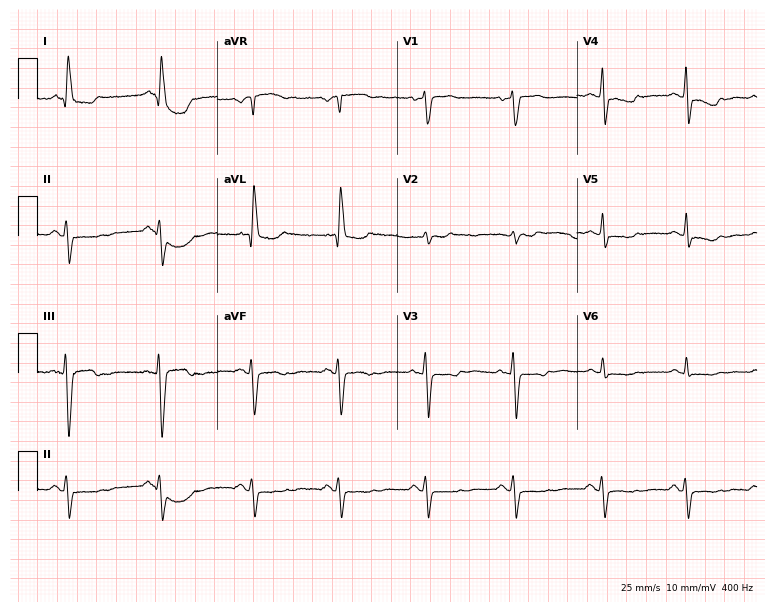
ECG (7.3-second recording at 400 Hz) — a woman, 58 years old. Labelled as a normal ECG.